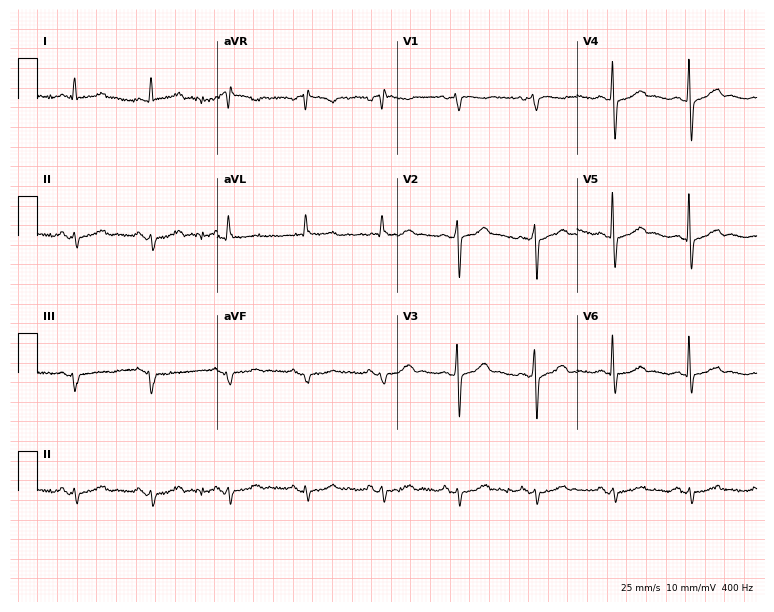
ECG — a woman, 81 years old. Screened for six findings — first-degree AV block, right bundle branch block, left bundle branch block, sinus bradycardia, atrial fibrillation, sinus tachycardia — none is recorded. Only these six findings were labelled.